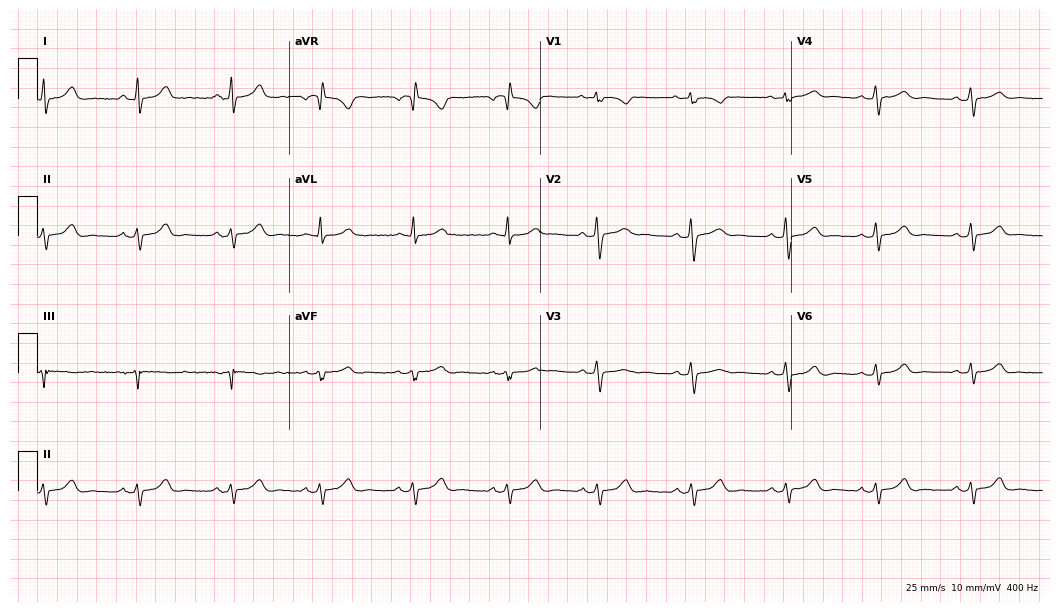
12-lead ECG (10.2-second recording at 400 Hz) from a woman, 36 years old. Screened for six findings — first-degree AV block, right bundle branch block, left bundle branch block, sinus bradycardia, atrial fibrillation, sinus tachycardia — none is recorded. Only these six findings were labelled.